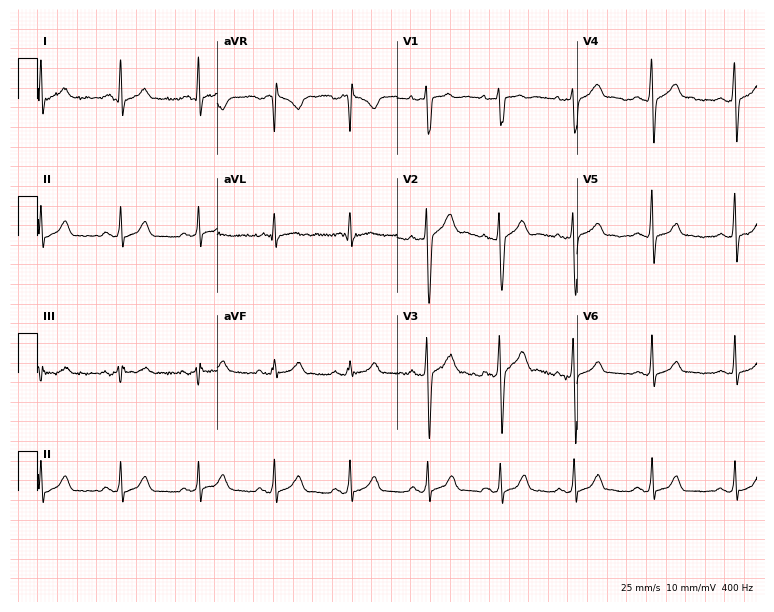
ECG — a male, 27 years old. Labelled as a normal ECG.